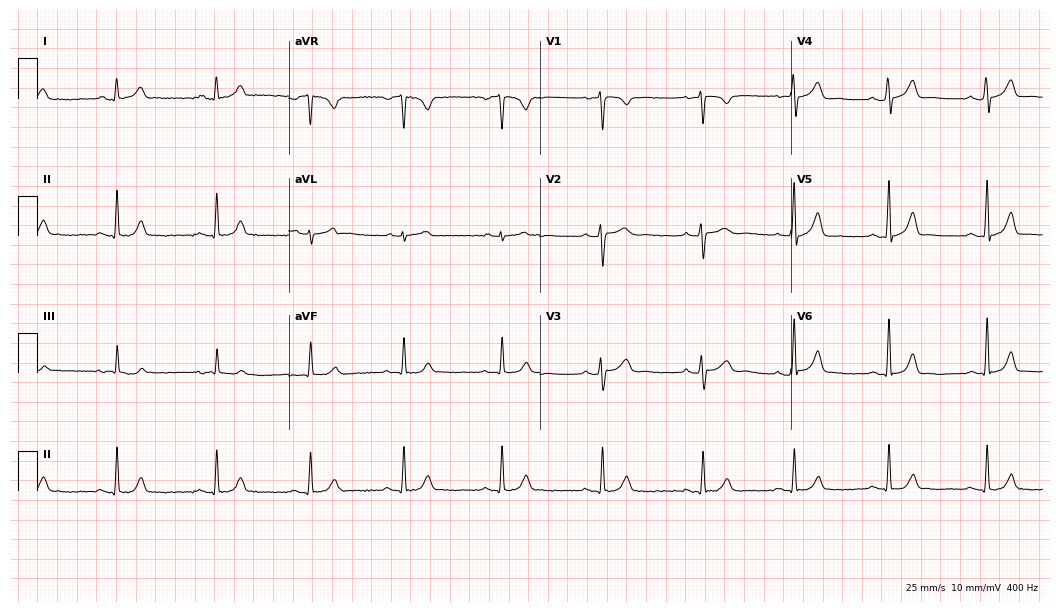
12-lead ECG from a 40-year-old woman. Recorded interpretation: within normal limits.